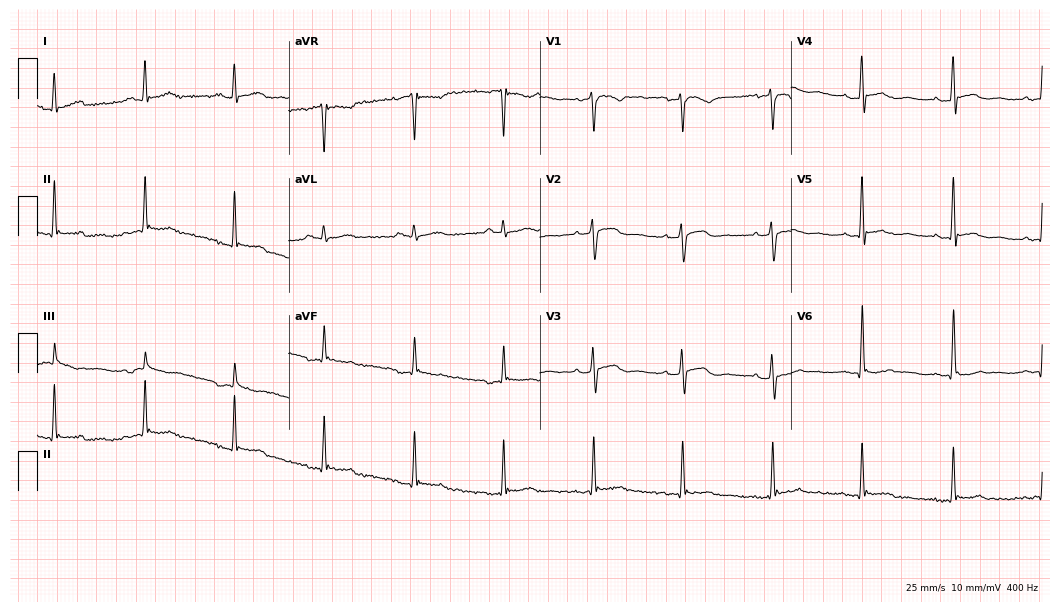
Electrocardiogram, a female patient, 69 years old. Of the six screened findings (first-degree AV block, right bundle branch block, left bundle branch block, sinus bradycardia, atrial fibrillation, sinus tachycardia), none is recorded.